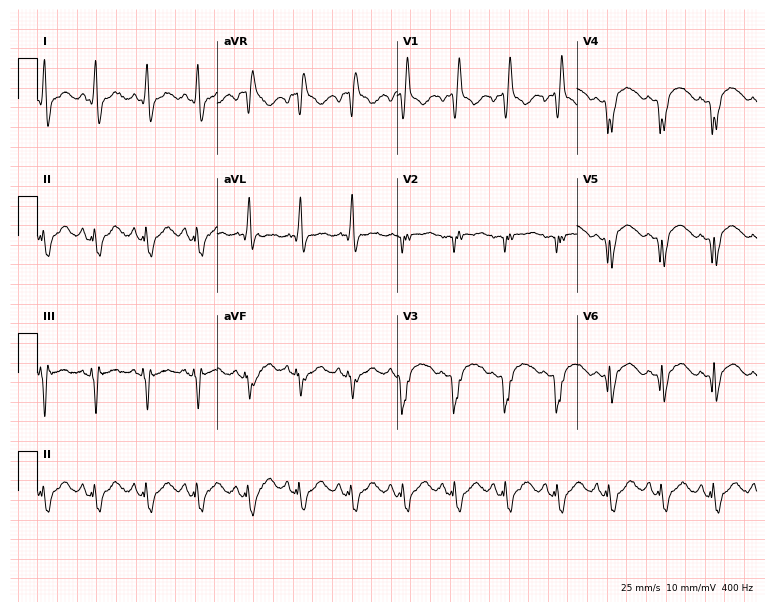
Resting 12-lead electrocardiogram (7.3-second recording at 400 Hz). Patient: a 54-year-old female. The tracing shows right bundle branch block, sinus tachycardia (a sinus rate of 100 beats per minute or more).